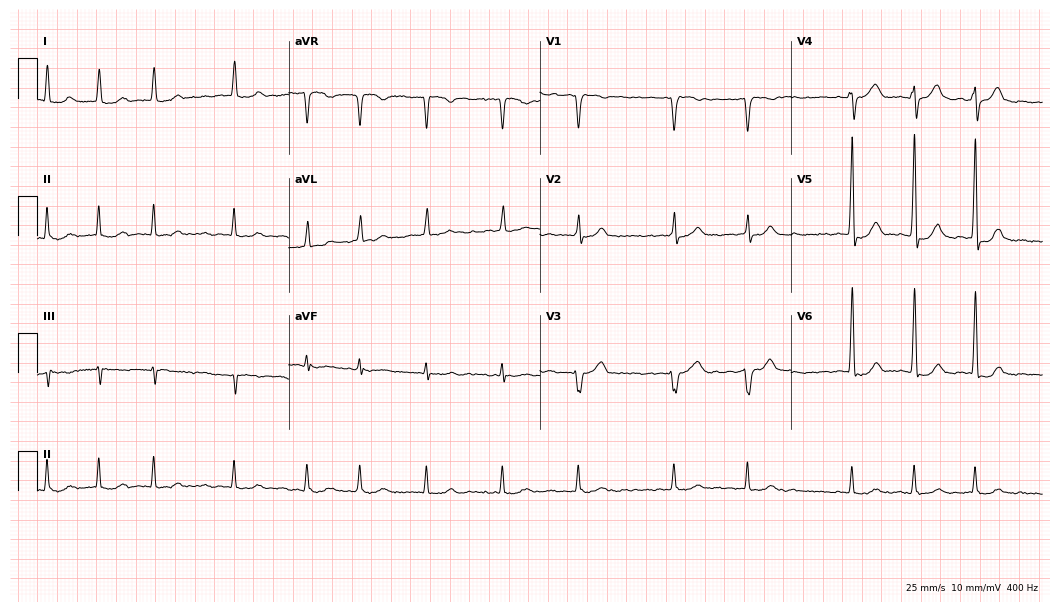
12-lead ECG from a 73-year-old male. Findings include atrial fibrillation (AF).